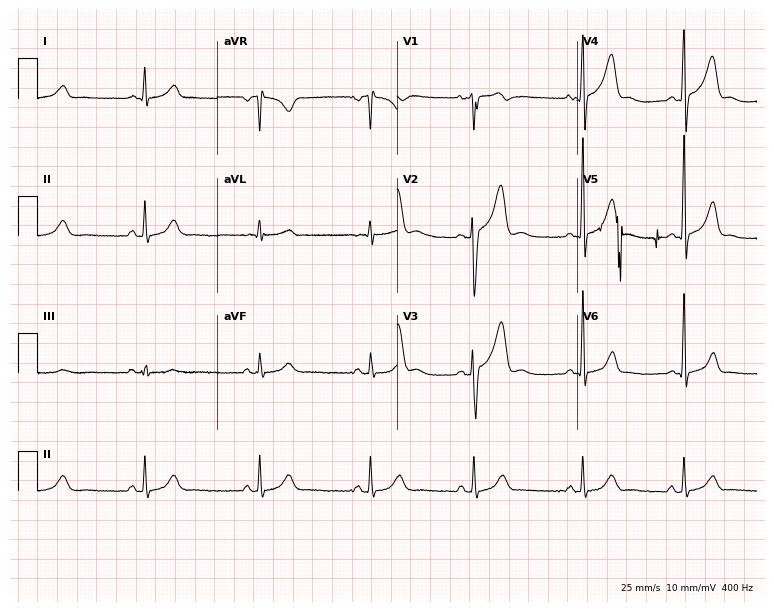
Resting 12-lead electrocardiogram. Patient: a man, 24 years old. None of these six findings is recorded: first-degree AV block, right bundle branch block, left bundle branch block, sinus bradycardia, atrial fibrillation, sinus tachycardia.